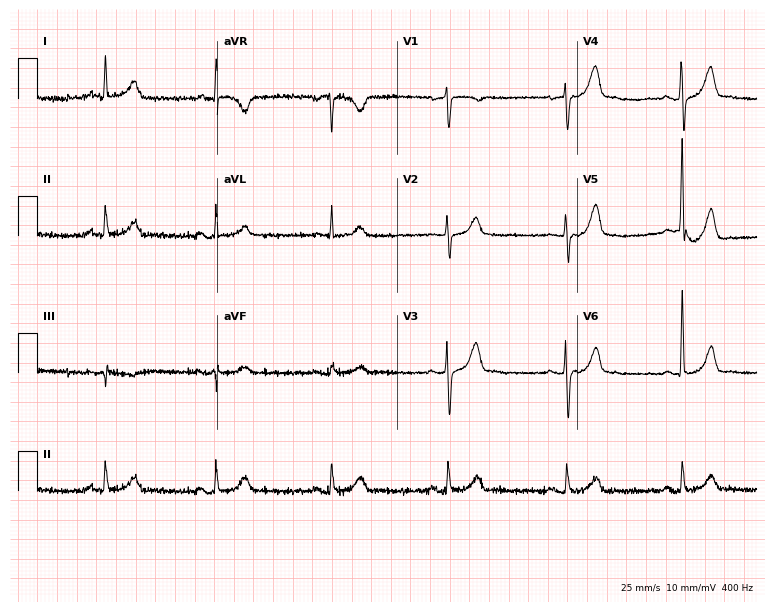
Resting 12-lead electrocardiogram (7.3-second recording at 400 Hz). Patient: a man, 51 years old. Read as a normal ECG.